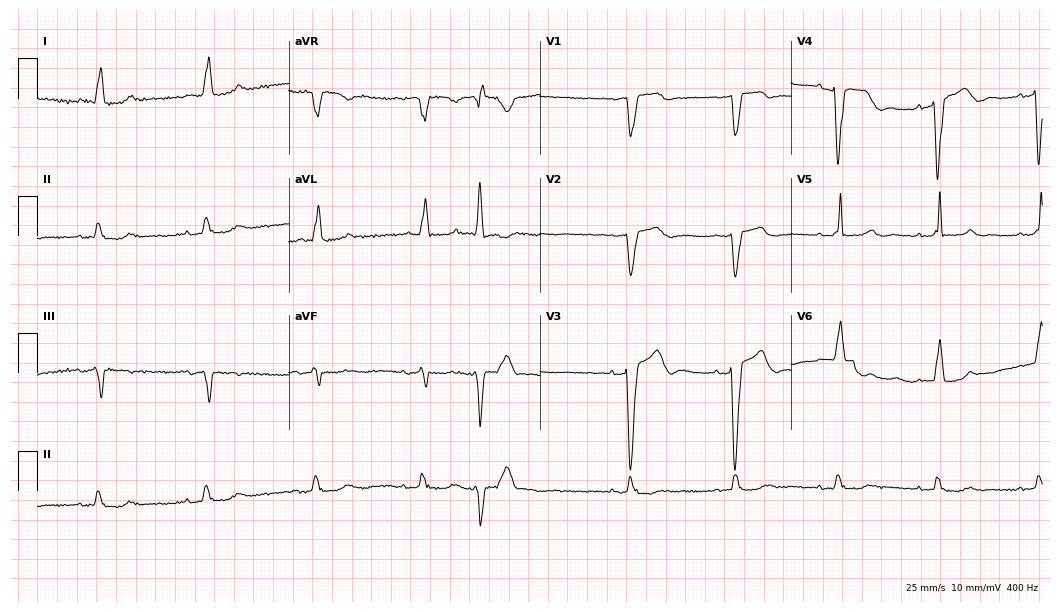
Standard 12-lead ECG recorded from a woman, 71 years old. None of these six findings is recorded: first-degree AV block, right bundle branch block (RBBB), left bundle branch block (LBBB), sinus bradycardia, atrial fibrillation (AF), sinus tachycardia.